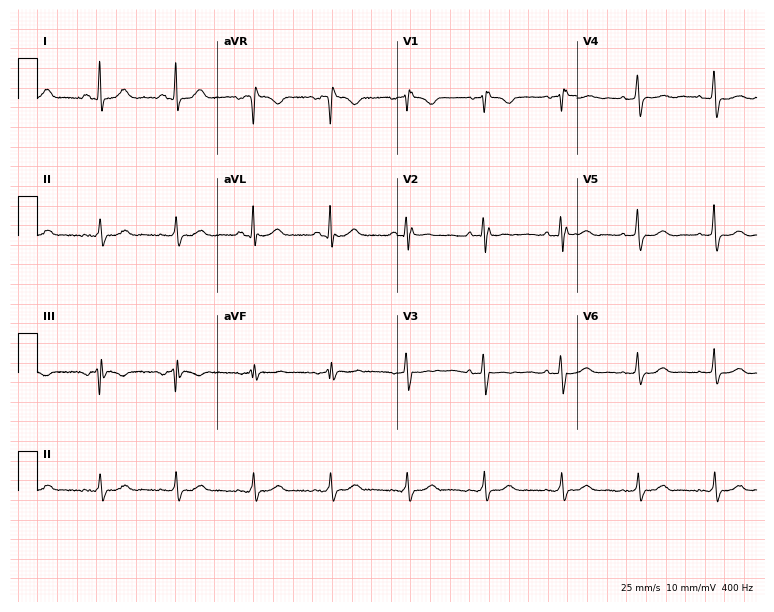
Electrocardiogram (7.3-second recording at 400 Hz), a woman, 60 years old. Of the six screened findings (first-degree AV block, right bundle branch block, left bundle branch block, sinus bradycardia, atrial fibrillation, sinus tachycardia), none is recorded. Findings outside these six are not listed.